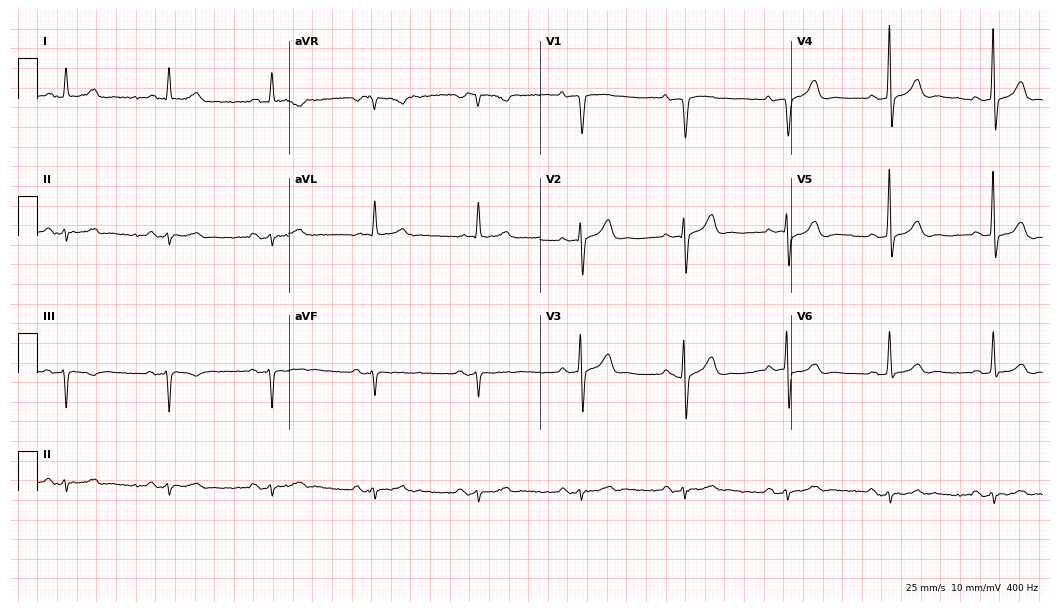
Electrocardiogram, a male patient, 80 years old. Of the six screened findings (first-degree AV block, right bundle branch block, left bundle branch block, sinus bradycardia, atrial fibrillation, sinus tachycardia), none is recorded.